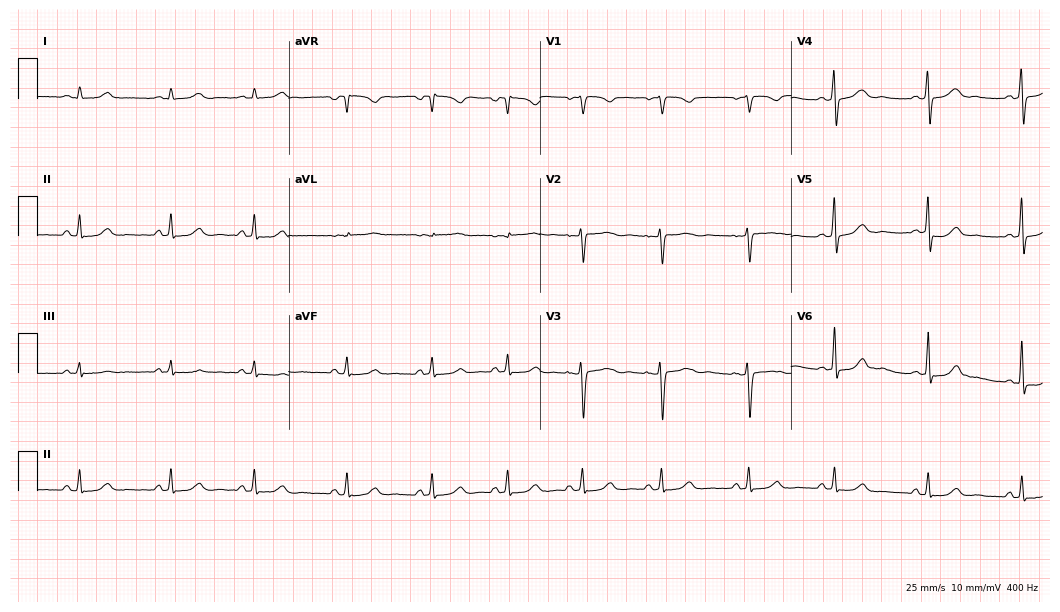
Resting 12-lead electrocardiogram (10.2-second recording at 400 Hz). Patient: a 29-year-old female. Read as a normal ECG.